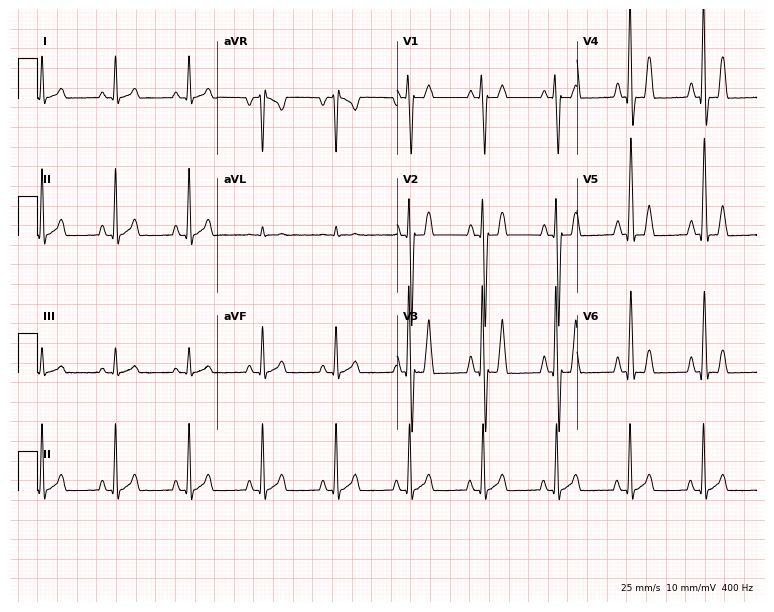
Standard 12-lead ECG recorded from a 34-year-old male patient. None of these six findings is recorded: first-degree AV block, right bundle branch block, left bundle branch block, sinus bradycardia, atrial fibrillation, sinus tachycardia. Findings outside these six are not listed.